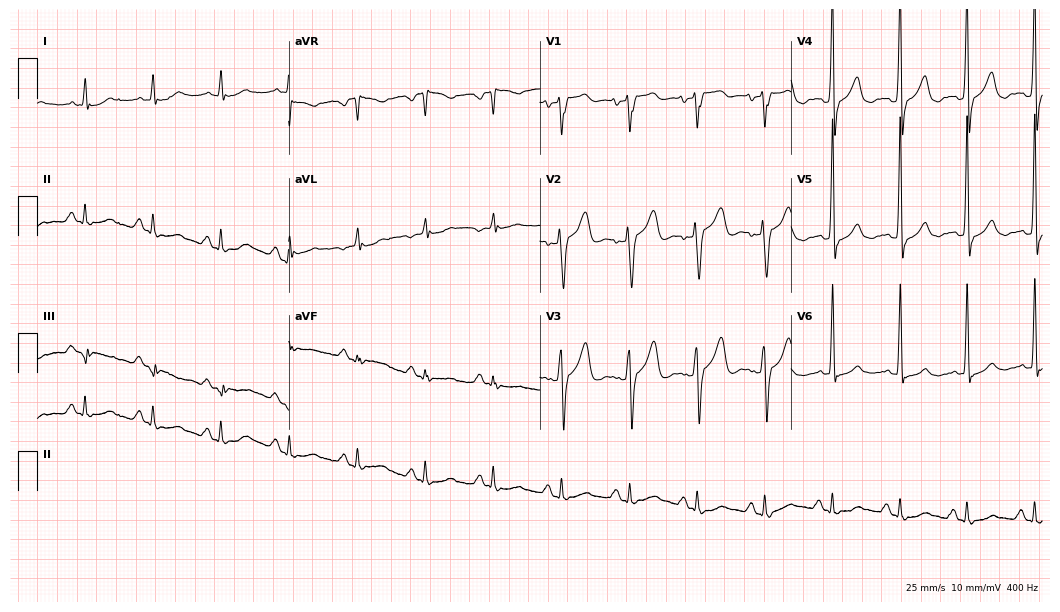
ECG — a 58-year-old man. Screened for six findings — first-degree AV block, right bundle branch block (RBBB), left bundle branch block (LBBB), sinus bradycardia, atrial fibrillation (AF), sinus tachycardia — none is recorded.